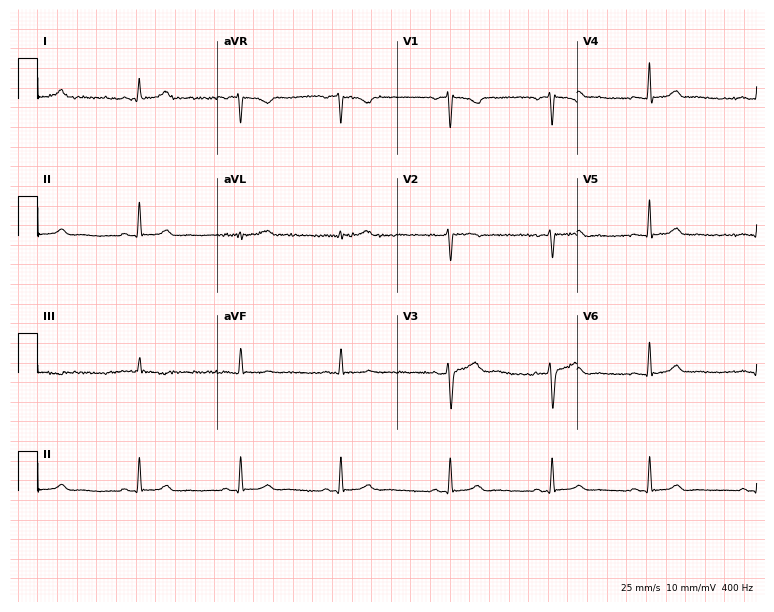
Standard 12-lead ECG recorded from a female, 32 years old. Read as a normal ECG.